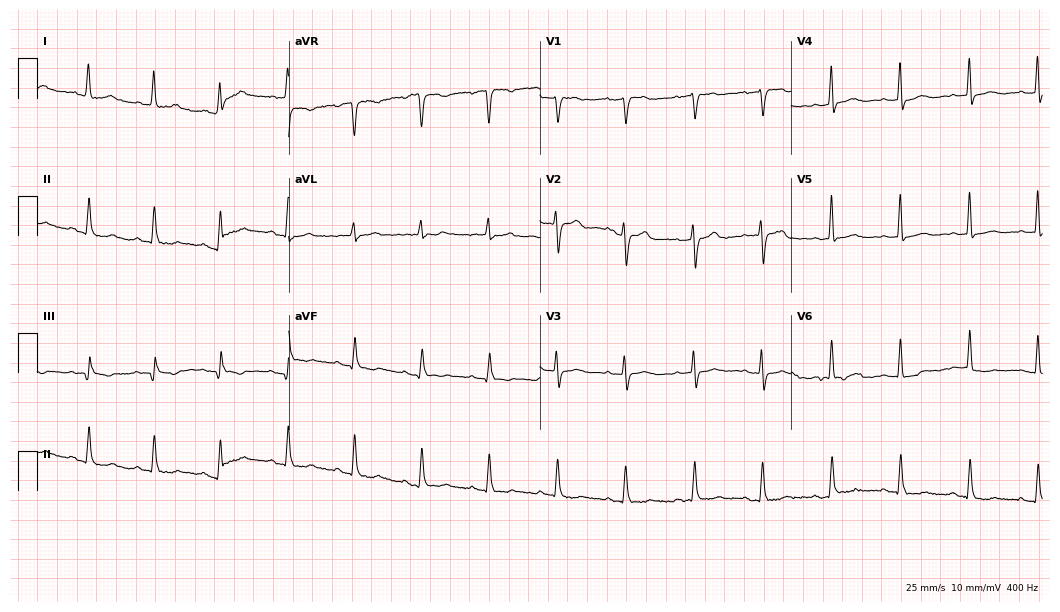
ECG (10.2-second recording at 400 Hz) — a female, 76 years old. Screened for six findings — first-degree AV block, right bundle branch block, left bundle branch block, sinus bradycardia, atrial fibrillation, sinus tachycardia — none is recorded.